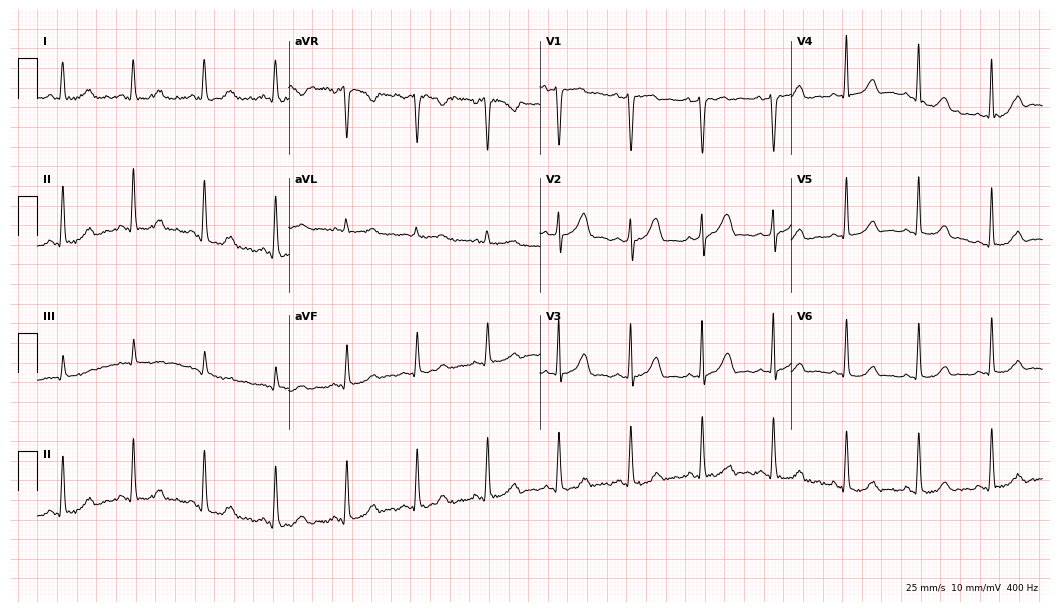
Standard 12-lead ECG recorded from a female patient, 36 years old (10.2-second recording at 400 Hz). Read as a normal ECG.